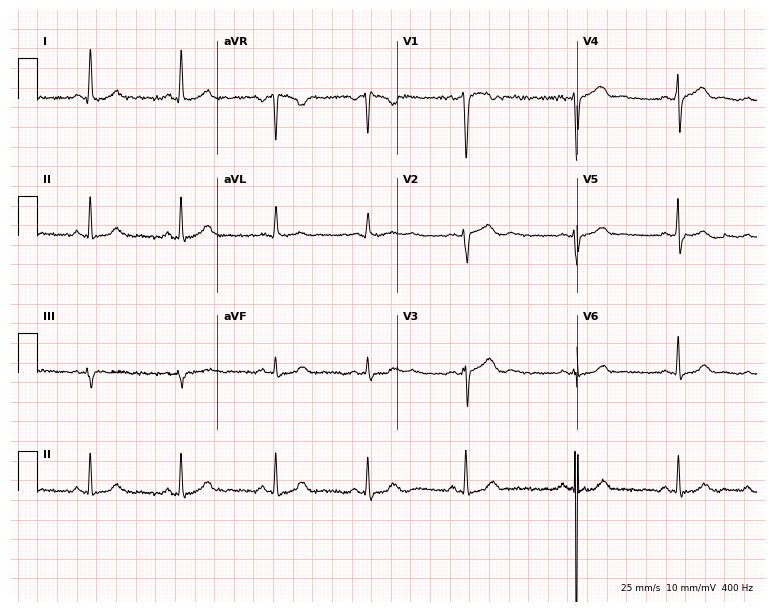
ECG (7.3-second recording at 400 Hz) — a woman, 28 years old. Screened for six findings — first-degree AV block, right bundle branch block, left bundle branch block, sinus bradycardia, atrial fibrillation, sinus tachycardia — none is recorded. Other findings, if any, are not listed.